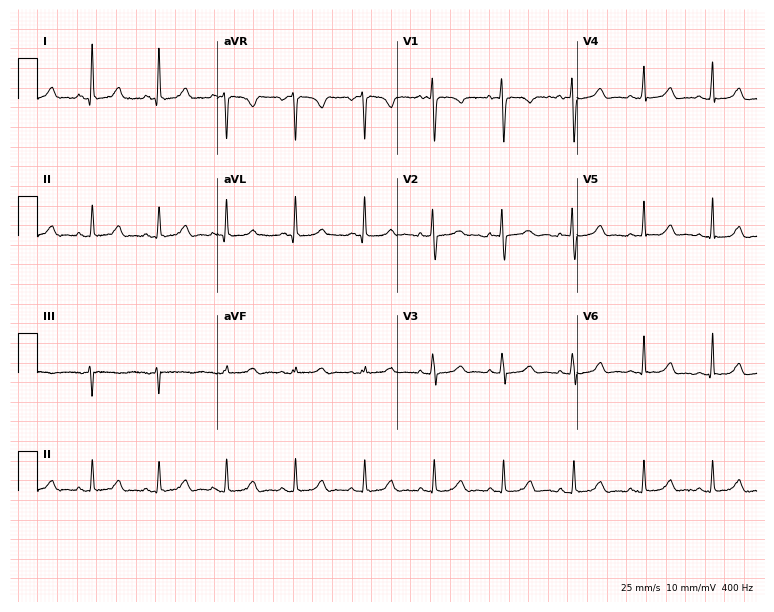
ECG — a 25-year-old female. Labelled as a normal ECG.